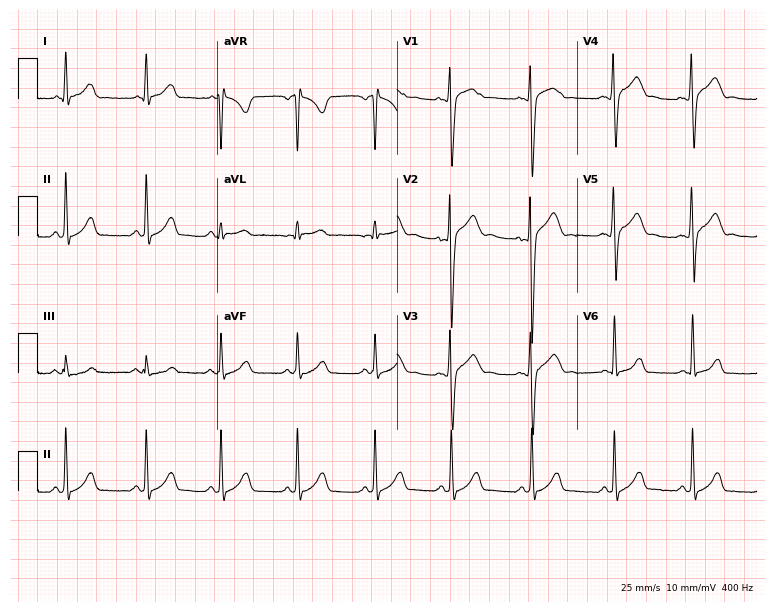
ECG (7.3-second recording at 400 Hz) — a 17-year-old man. Screened for six findings — first-degree AV block, right bundle branch block, left bundle branch block, sinus bradycardia, atrial fibrillation, sinus tachycardia — none is recorded. Findings outside these six are not listed.